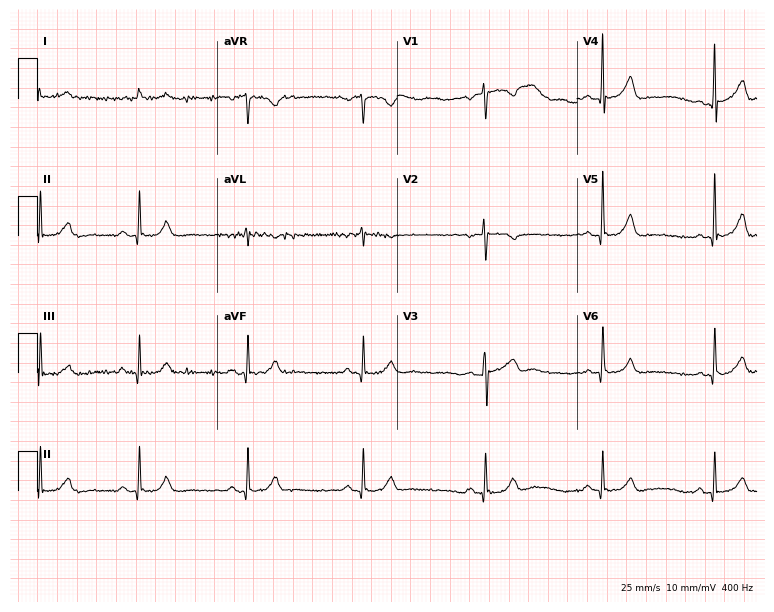
12-lead ECG from a woman, 53 years old (7.3-second recording at 400 Hz). Recorded interpretation: within normal limits.